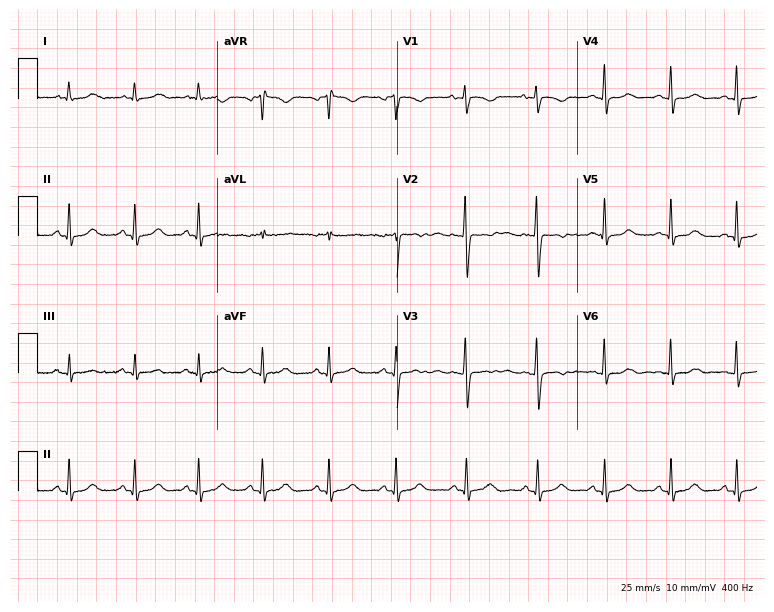
12-lead ECG from a 33-year-old woman. Labelled as a normal ECG.